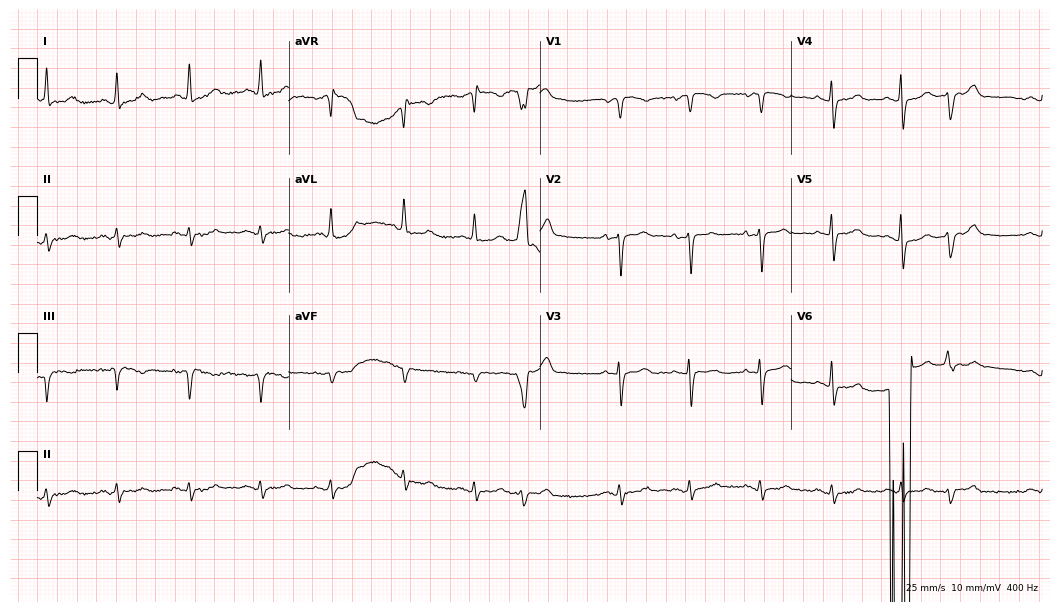
12-lead ECG from a female patient, 85 years old. Screened for six findings — first-degree AV block, right bundle branch block, left bundle branch block, sinus bradycardia, atrial fibrillation, sinus tachycardia — none is recorded.